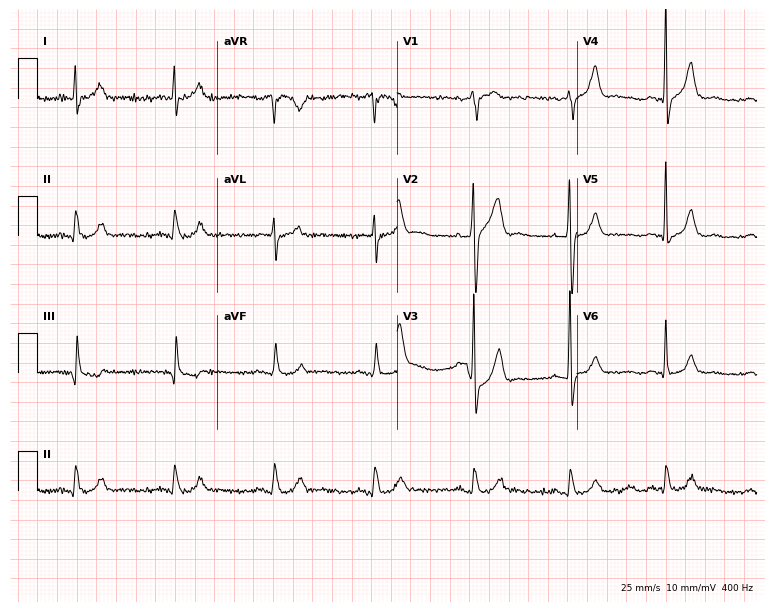
12-lead ECG (7.3-second recording at 400 Hz) from a 73-year-old male. Screened for six findings — first-degree AV block, right bundle branch block, left bundle branch block, sinus bradycardia, atrial fibrillation, sinus tachycardia — none is recorded. Other findings, if any, are not listed.